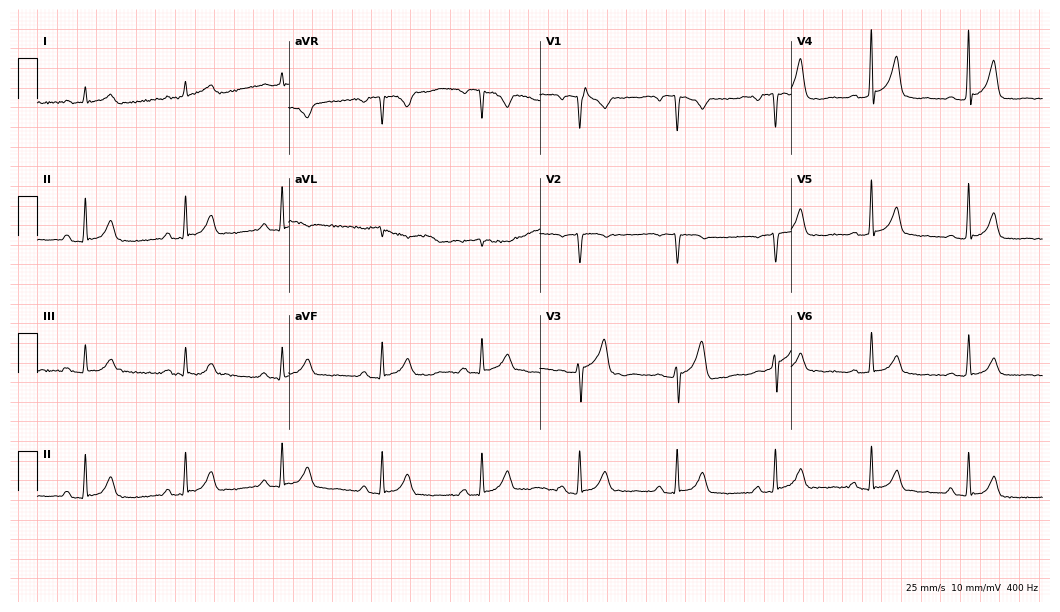
ECG — a 67-year-old female. Labelled as a normal ECG.